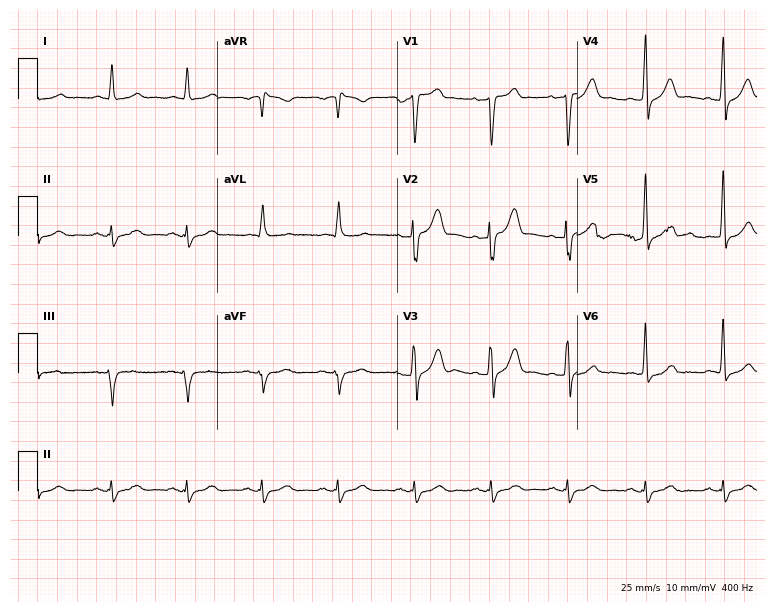
Standard 12-lead ECG recorded from a male, 54 years old. None of these six findings is recorded: first-degree AV block, right bundle branch block, left bundle branch block, sinus bradycardia, atrial fibrillation, sinus tachycardia.